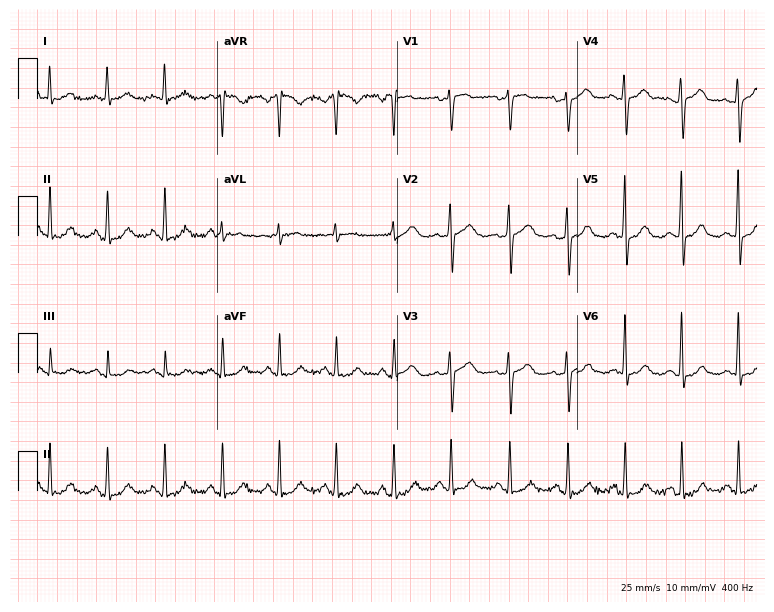
12-lead ECG (7.3-second recording at 400 Hz) from a 60-year-old female patient. Screened for six findings — first-degree AV block, right bundle branch block, left bundle branch block, sinus bradycardia, atrial fibrillation, sinus tachycardia — none is recorded. Findings outside these six are not listed.